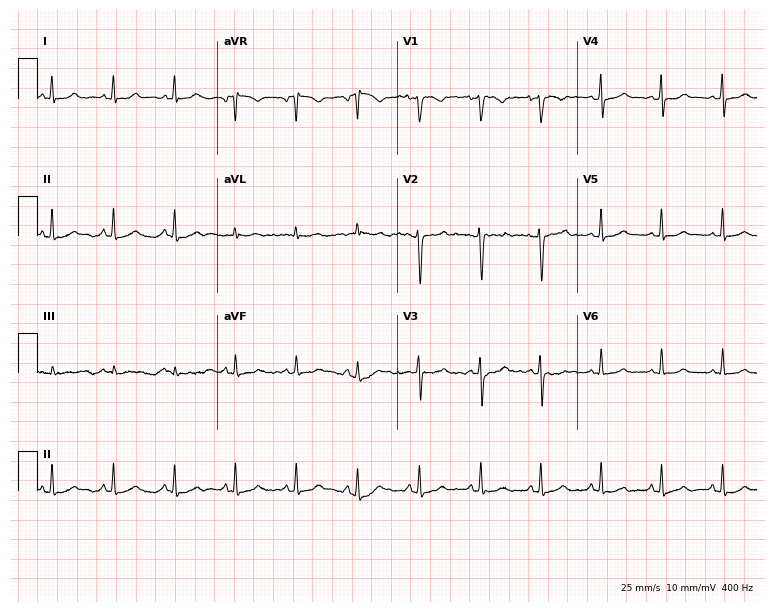
ECG — a female patient, 25 years old. Screened for six findings — first-degree AV block, right bundle branch block, left bundle branch block, sinus bradycardia, atrial fibrillation, sinus tachycardia — none is recorded.